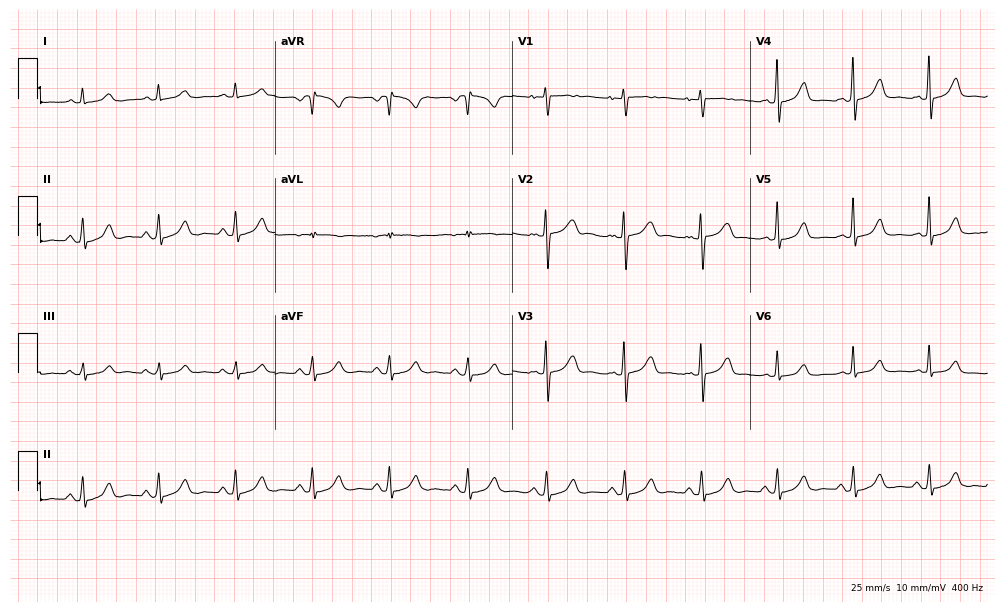
12-lead ECG from a female patient, 39 years old. Labelled as a normal ECG.